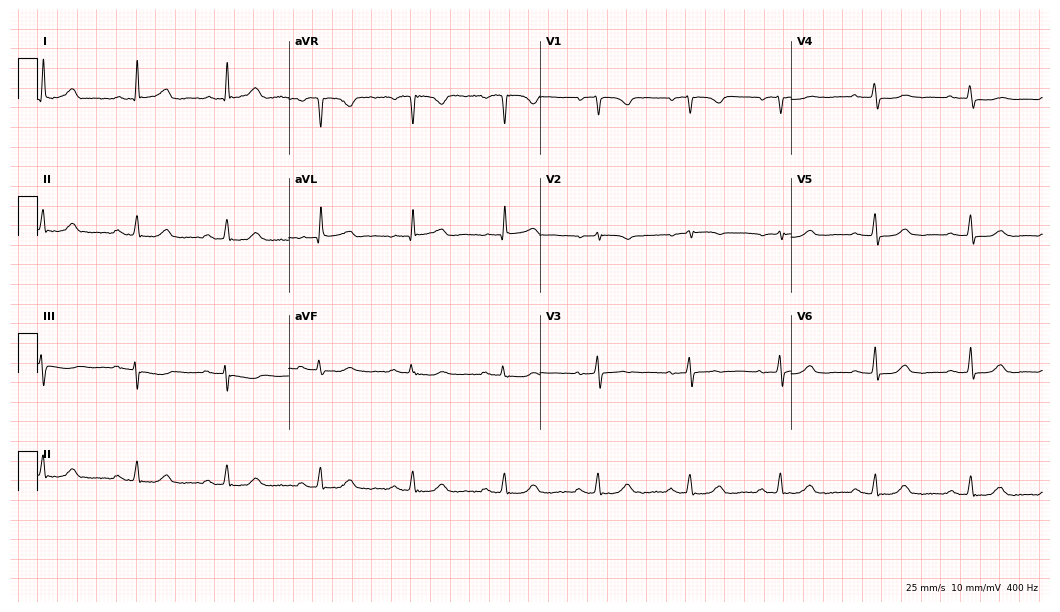
ECG — a 79-year-old female patient. Screened for six findings — first-degree AV block, right bundle branch block, left bundle branch block, sinus bradycardia, atrial fibrillation, sinus tachycardia — none is recorded. Only these six findings were labelled.